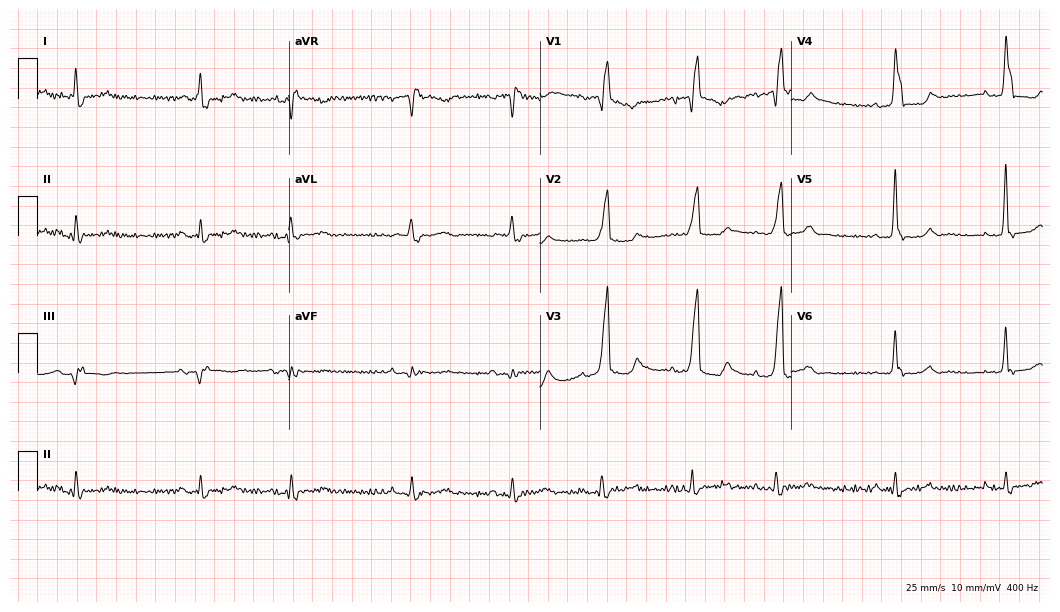
Standard 12-lead ECG recorded from a 70-year-old male. None of these six findings is recorded: first-degree AV block, right bundle branch block, left bundle branch block, sinus bradycardia, atrial fibrillation, sinus tachycardia.